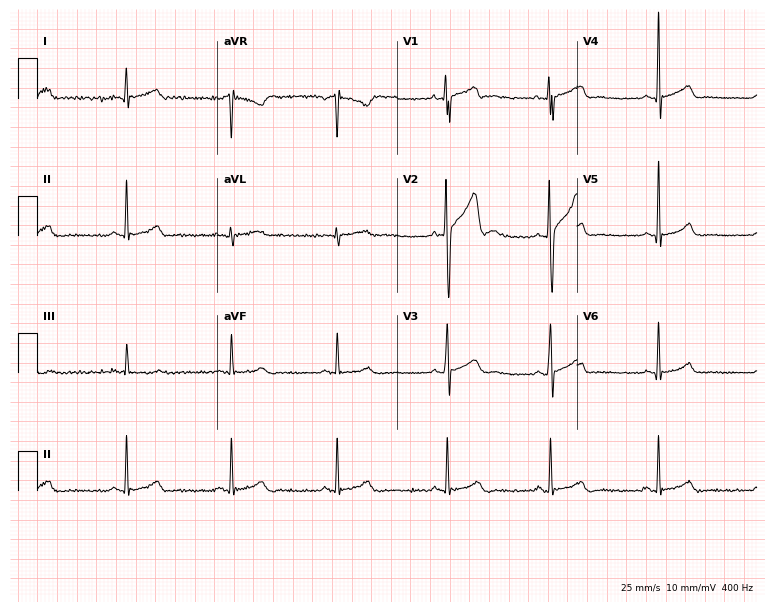
Resting 12-lead electrocardiogram. Patient: a 20-year-old male. None of these six findings is recorded: first-degree AV block, right bundle branch block, left bundle branch block, sinus bradycardia, atrial fibrillation, sinus tachycardia. Other findings, if any, are not listed.